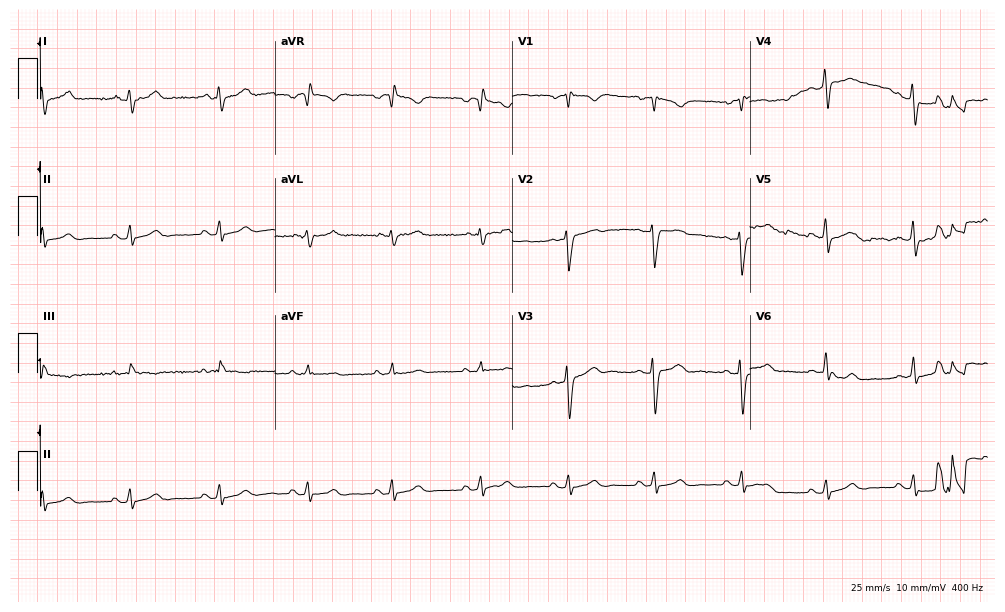
Resting 12-lead electrocardiogram (9.7-second recording at 400 Hz). Patient: a female, 36 years old. None of these six findings is recorded: first-degree AV block, right bundle branch block, left bundle branch block, sinus bradycardia, atrial fibrillation, sinus tachycardia. Findings outside these six are not listed.